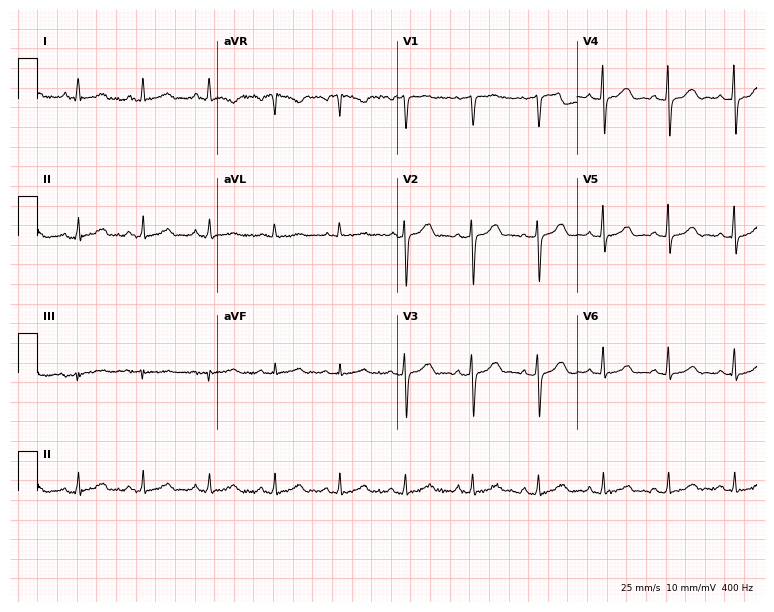
Electrocardiogram (7.3-second recording at 400 Hz), a female patient, 56 years old. Overall reading on record: normal ECG.